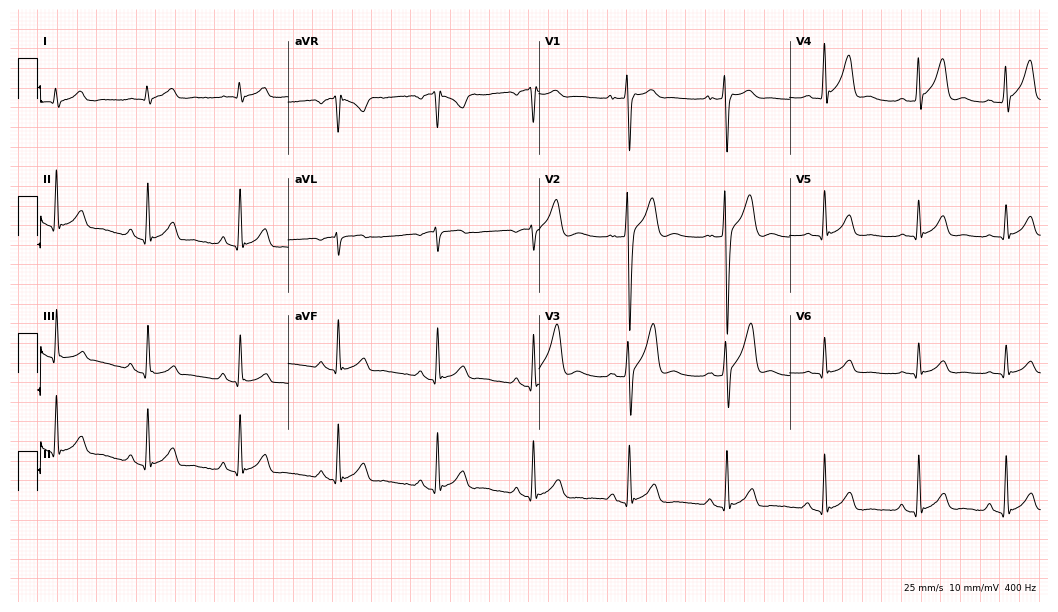
Standard 12-lead ECG recorded from a male patient, 26 years old (10.2-second recording at 400 Hz). None of these six findings is recorded: first-degree AV block, right bundle branch block (RBBB), left bundle branch block (LBBB), sinus bradycardia, atrial fibrillation (AF), sinus tachycardia.